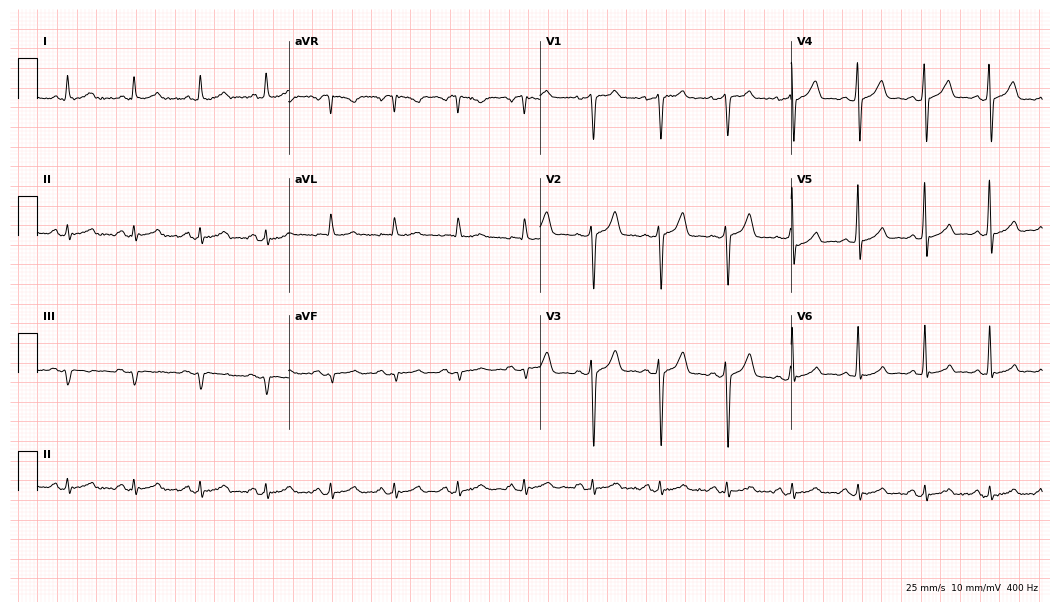
Electrocardiogram (10.2-second recording at 400 Hz), a 64-year-old man. Overall reading on record: normal ECG.